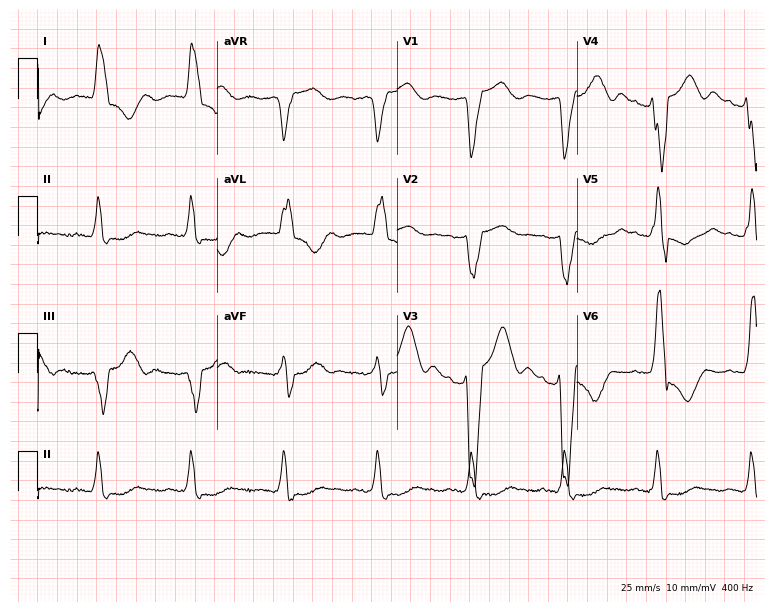
Resting 12-lead electrocardiogram. Patient: a 60-year-old woman. The tracing shows left bundle branch block.